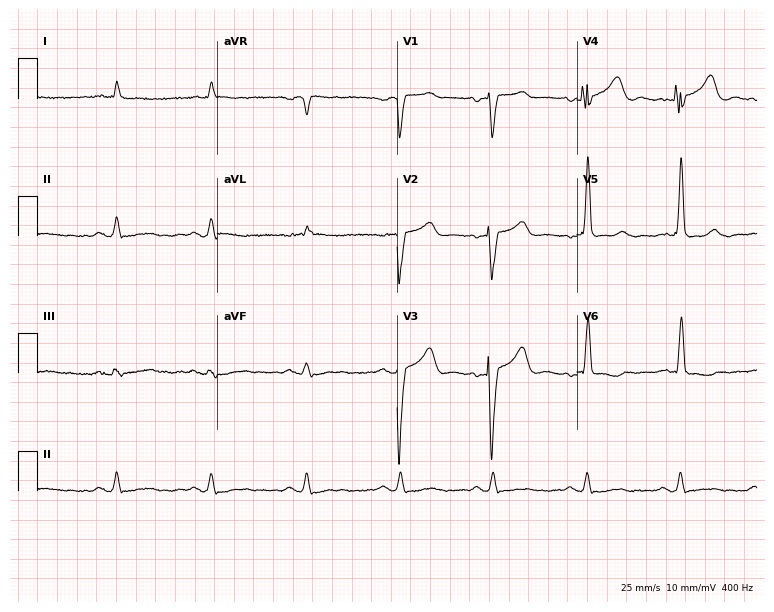
Resting 12-lead electrocardiogram (7.3-second recording at 400 Hz). Patient: a 62-year-old male. The tracing shows left bundle branch block (LBBB).